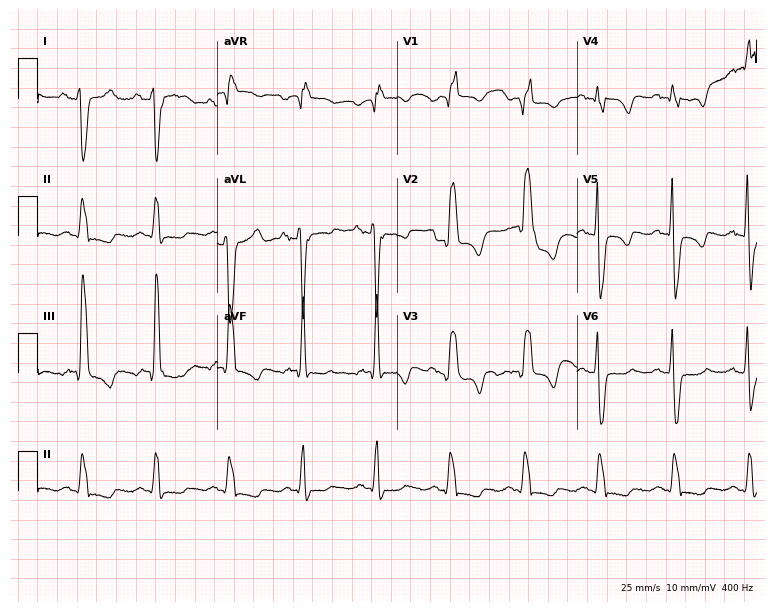
Resting 12-lead electrocardiogram (7.3-second recording at 400 Hz). Patient: an 85-year-old female. The tracing shows right bundle branch block.